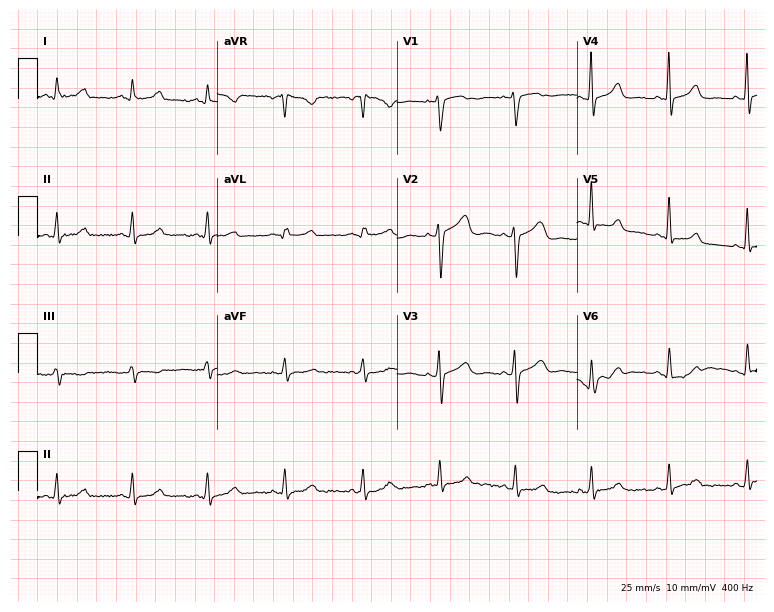
ECG — a 50-year-old woman. Screened for six findings — first-degree AV block, right bundle branch block (RBBB), left bundle branch block (LBBB), sinus bradycardia, atrial fibrillation (AF), sinus tachycardia — none is recorded.